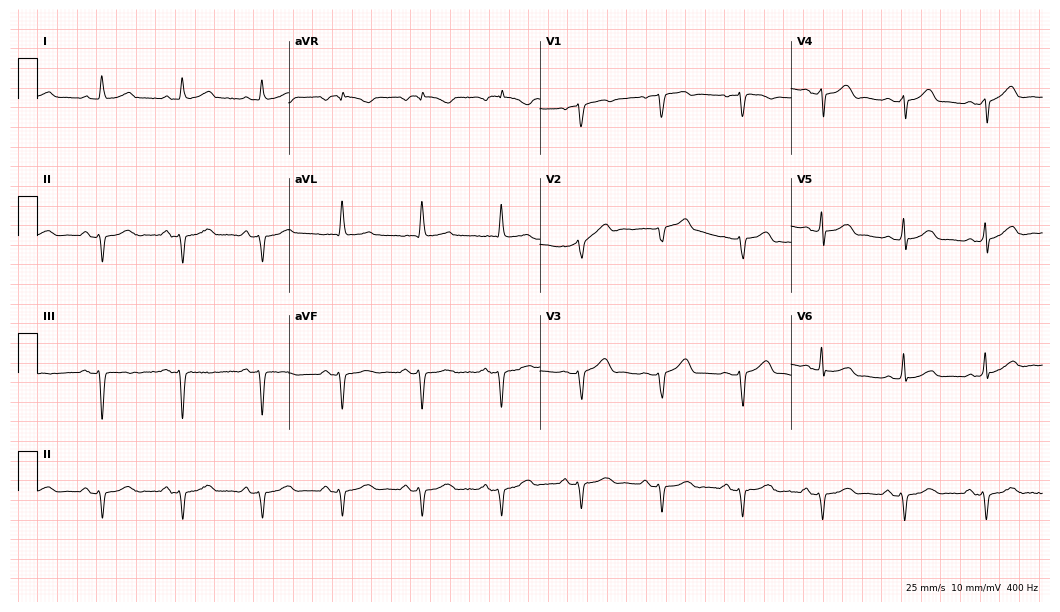
12-lead ECG from a man, 63 years old. No first-degree AV block, right bundle branch block, left bundle branch block, sinus bradycardia, atrial fibrillation or sinus tachycardia recorded for this tracing. Findings outside these six are not listed.